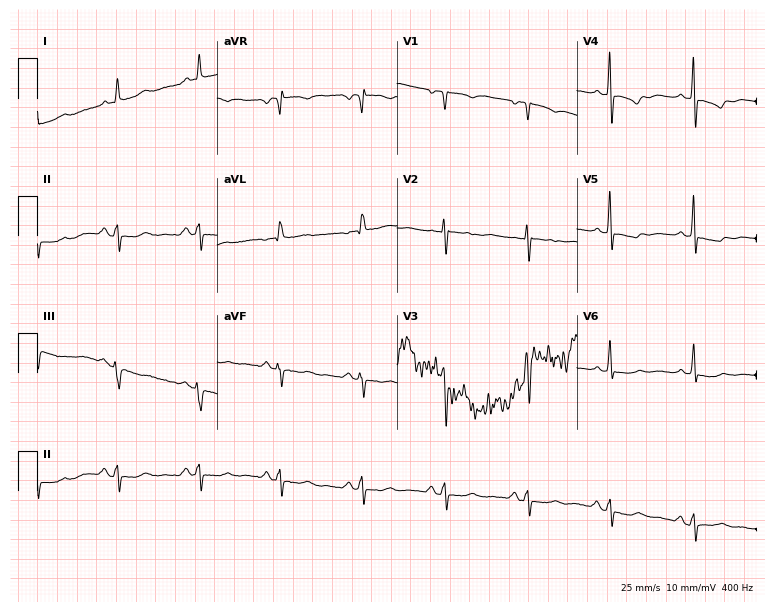
12-lead ECG from a woman, 72 years old. Screened for six findings — first-degree AV block, right bundle branch block (RBBB), left bundle branch block (LBBB), sinus bradycardia, atrial fibrillation (AF), sinus tachycardia — none is recorded. Findings outside these six are not listed.